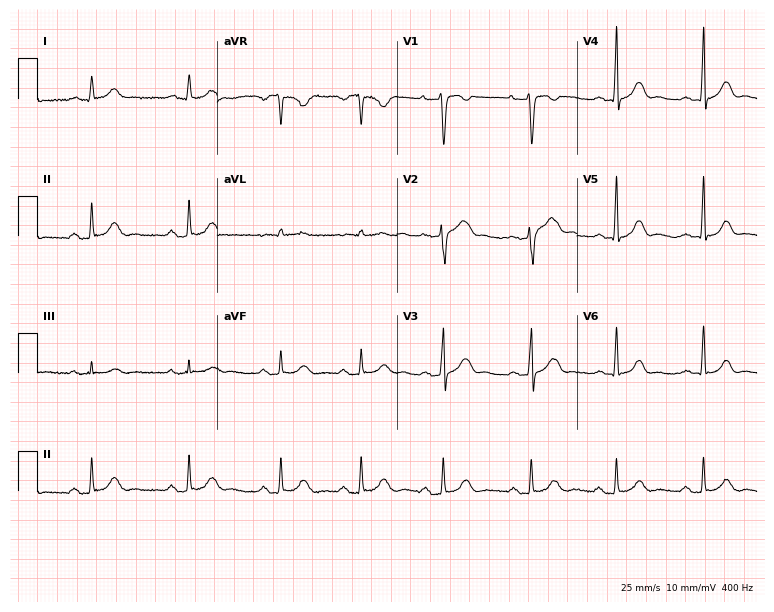
ECG (7.3-second recording at 400 Hz) — a 33-year-old woman. Screened for six findings — first-degree AV block, right bundle branch block, left bundle branch block, sinus bradycardia, atrial fibrillation, sinus tachycardia — none is recorded. Only these six findings were labelled.